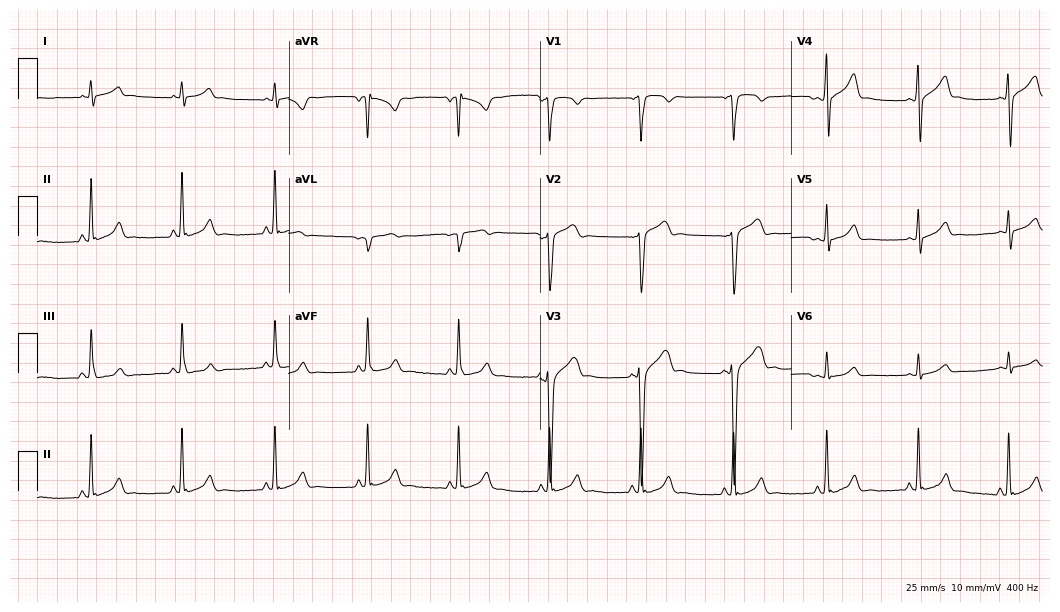
Standard 12-lead ECG recorded from a male, 18 years old. Read as a normal ECG.